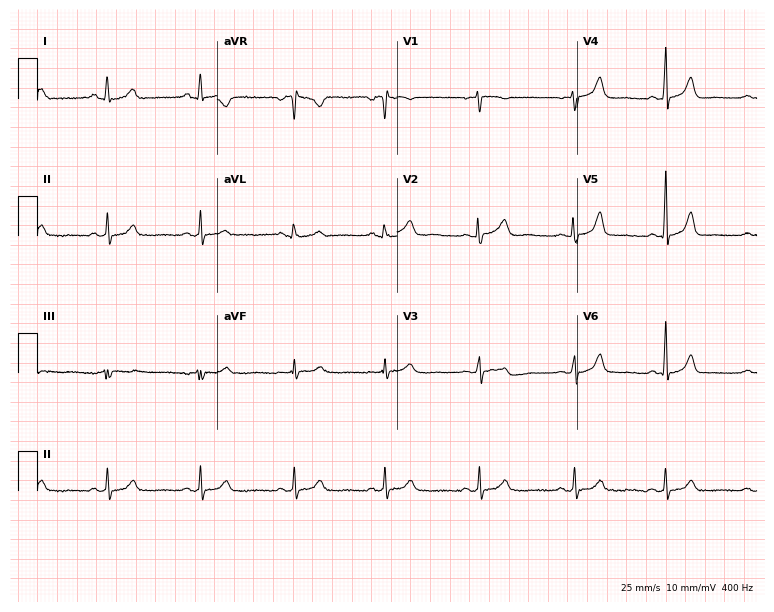
Standard 12-lead ECG recorded from a 31-year-old female. Read as a normal ECG.